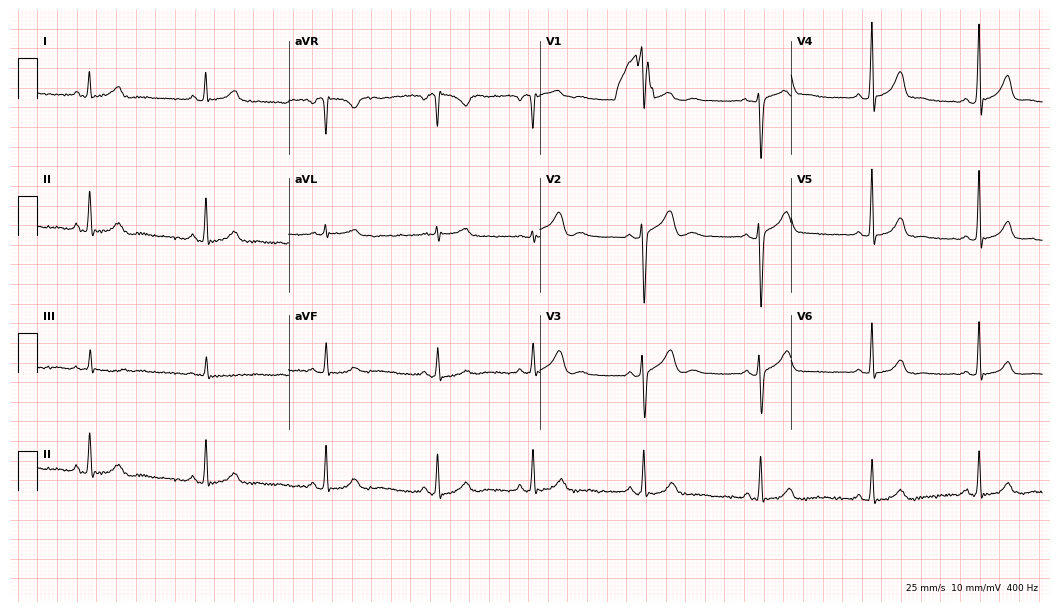
12-lead ECG from a female, 32 years old. No first-degree AV block, right bundle branch block, left bundle branch block, sinus bradycardia, atrial fibrillation or sinus tachycardia recorded for this tracing. Findings outside these six are not listed.